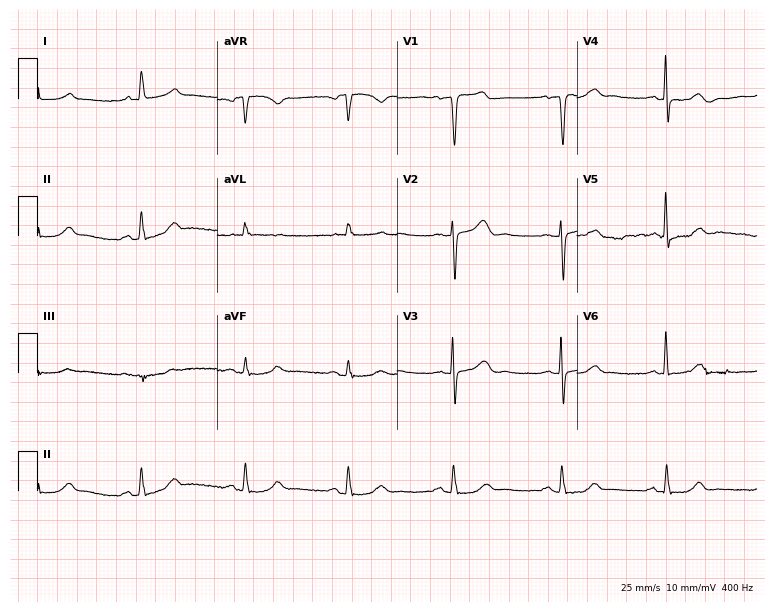
Electrocardiogram, a male patient, 74 years old. Overall reading on record: normal ECG.